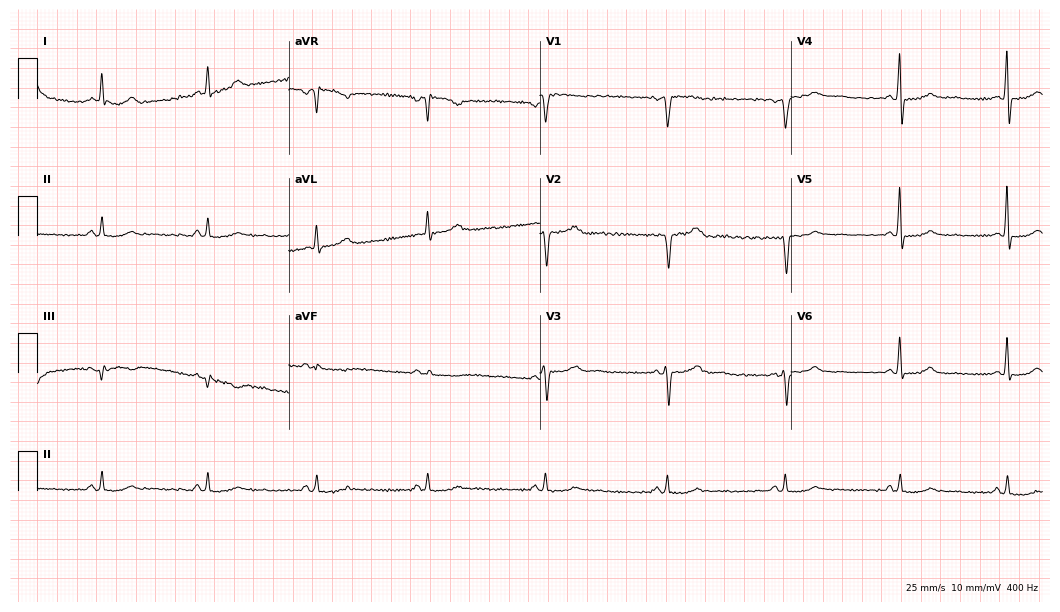
Electrocardiogram, a 49-year-old male patient. Of the six screened findings (first-degree AV block, right bundle branch block, left bundle branch block, sinus bradycardia, atrial fibrillation, sinus tachycardia), none is recorded.